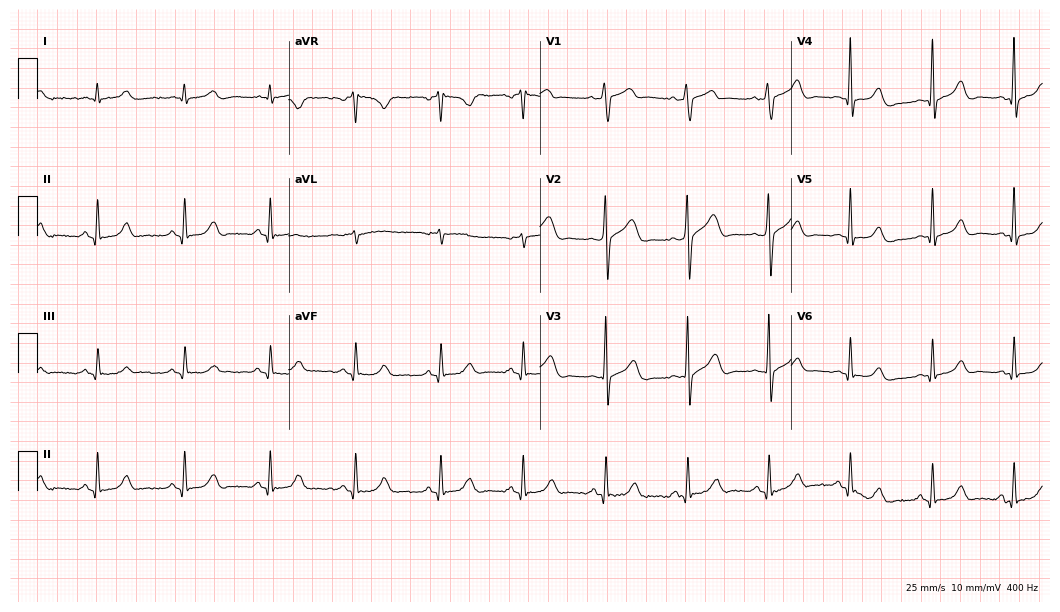
Electrocardiogram, a man, 46 years old. Overall reading on record: normal ECG.